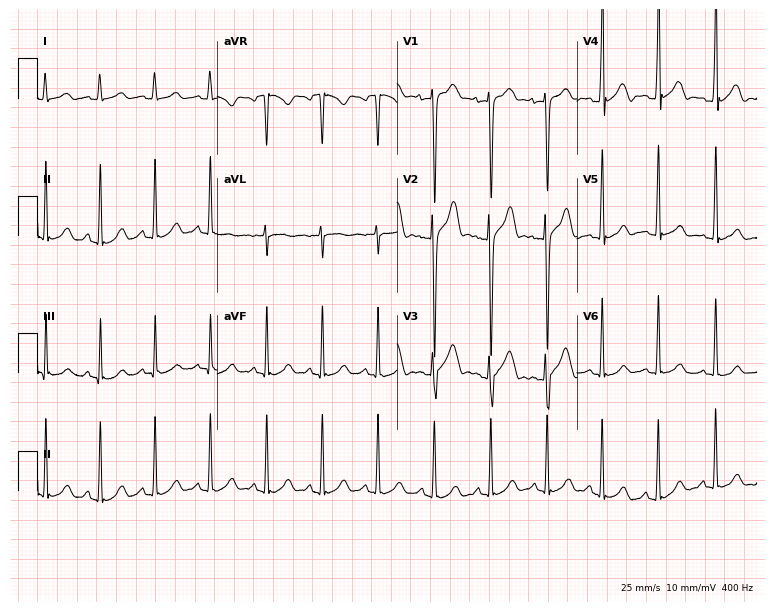
Standard 12-lead ECG recorded from a male patient, 17 years old. The tracing shows sinus tachycardia (a sinus rate of 100 beats per minute or more).